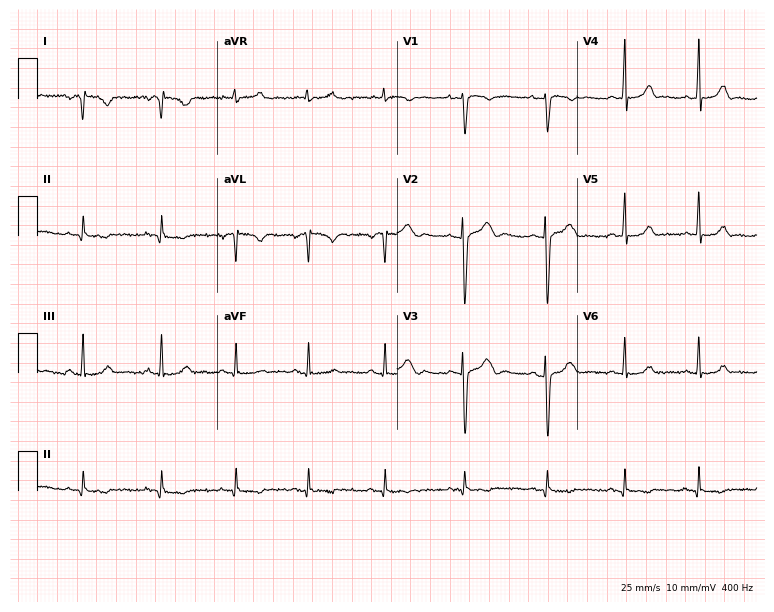
Electrocardiogram (7.3-second recording at 400 Hz), a woman, 21 years old. Of the six screened findings (first-degree AV block, right bundle branch block, left bundle branch block, sinus bradycardia, atrial fibrillation, sinus tachycardia), none is recorded. Other findings, if any, are not listed.